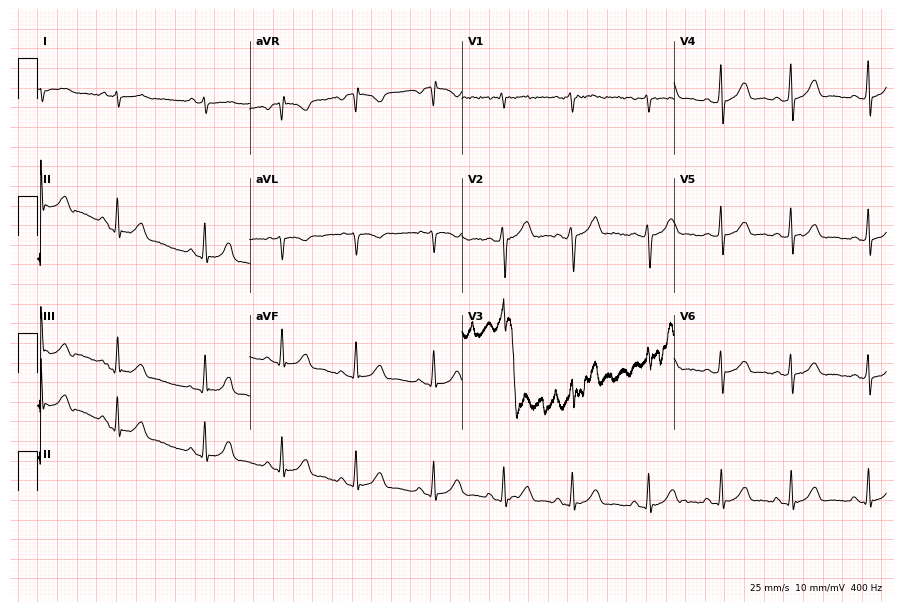
Resting 12-lead electrocardiogram (8.7-second recording at 400 Hz). Patient: an 18-year-old woman. None of these six findings is recorded: first-degree AV block, right bundle branch block, left bundle branch block, sinus bradycardia, atrial fibrillation, sinus tachycardia.